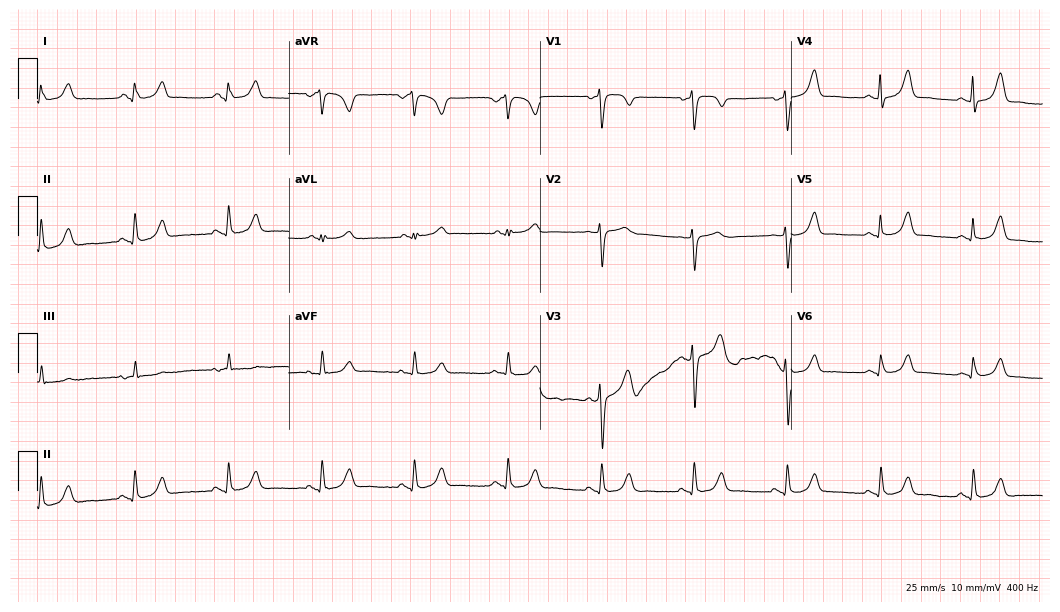
12-lead ECG from a female, 43 years old. Labelled as a normal ECG.